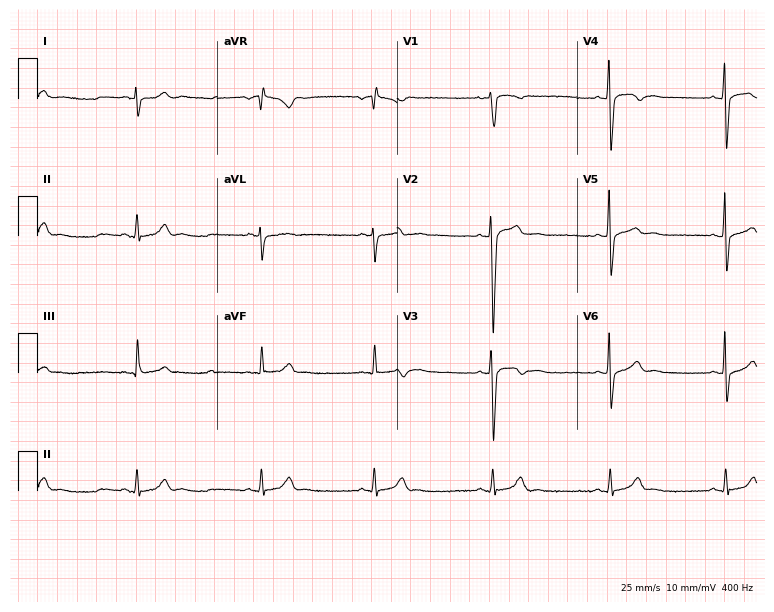
Standard 12-lead ECG recorded from a male patient, 35 years old. None of these six findings is recorded: first-degree AV block, right bundle branch block, left bundle branch block, sinus bradycardia, atrial fibrillation, sinus tachycardia.